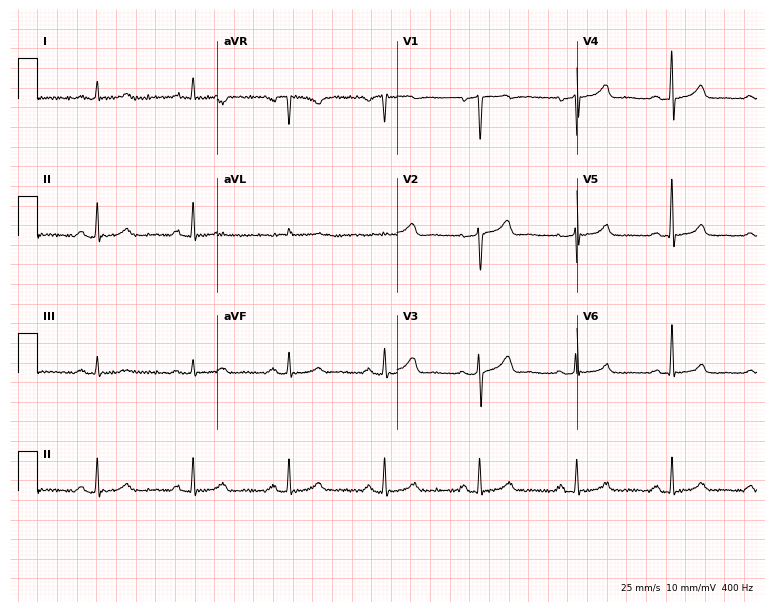
Resting 12-lead electrocardiogram (7.3-second recording at 400 Hz). Patient: a male, 55 years old. Read as a normal ECG.